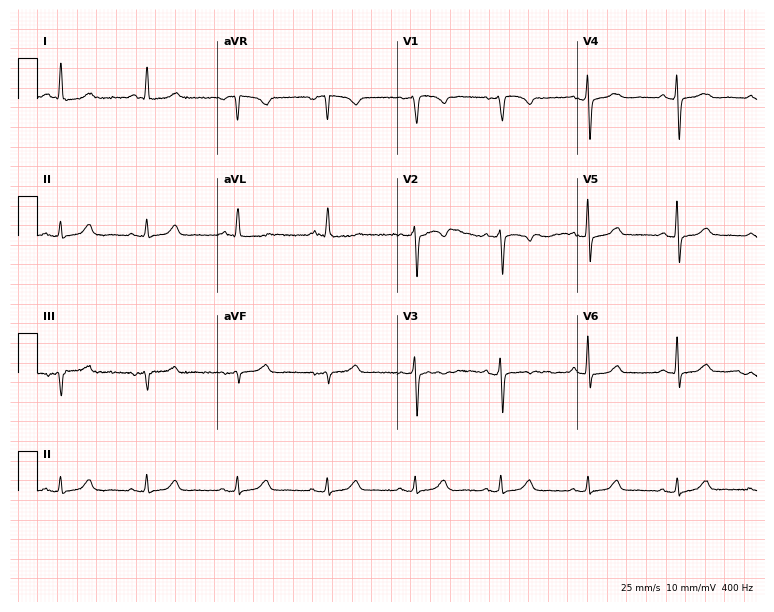
Electrocardiogram (7.3-second recording at 400 Hz), a woman, 60 years old. Overall reading on record: normal ECG.